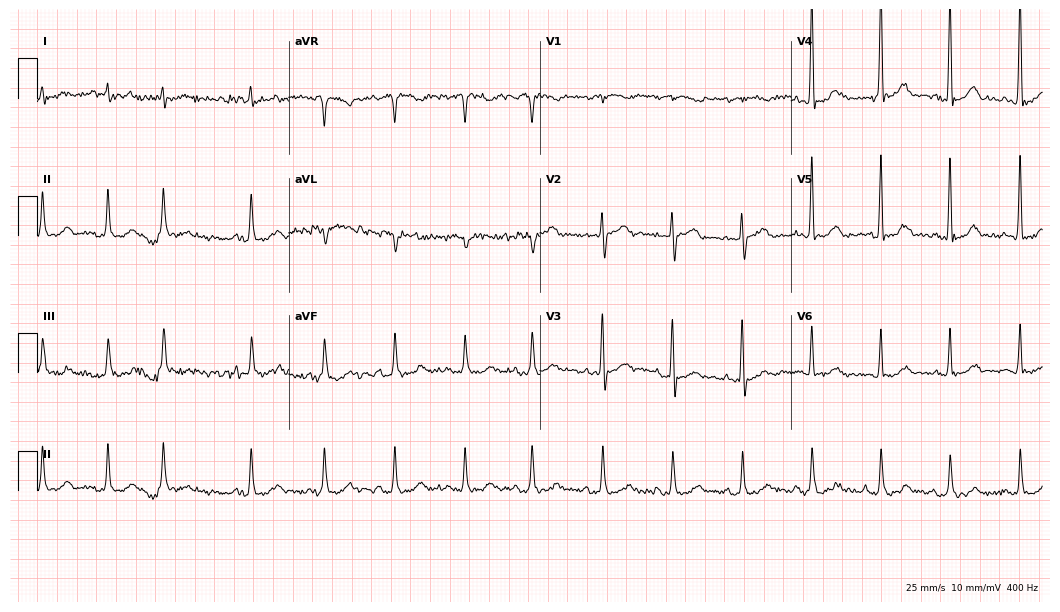
12-lead ECG from a 77-year-old man. Screened for six findings — first-degree AV block, right bundle branch block, left bundle branch block, sinus bradycardia, atrial fibrillation, sinus tachycardia — none is recorded. Other findings, if any, are not listed.